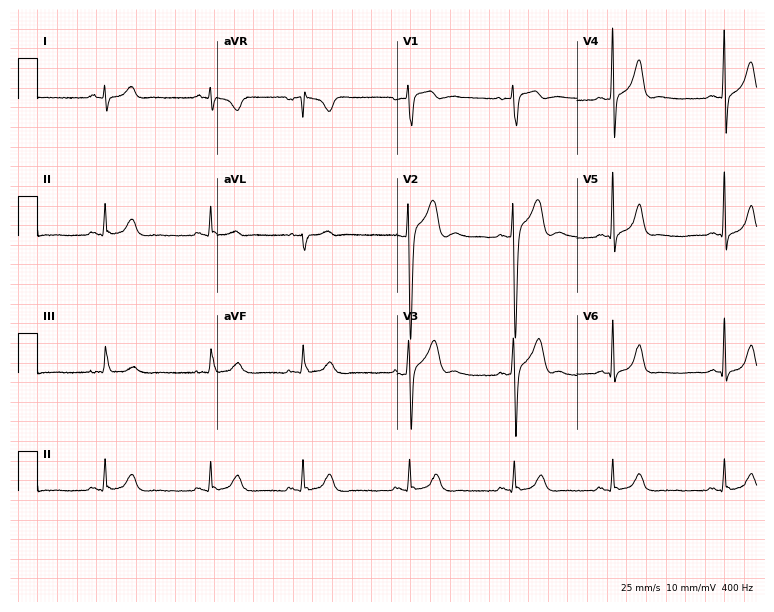
12-lead ECG from a 22-year-old man. Screened for six findings — first-degree AV block, right bundle branch block, left bundle branch block, sinus bradycardia, atrial fibrillation, sinus tachycardia — none is recorded.